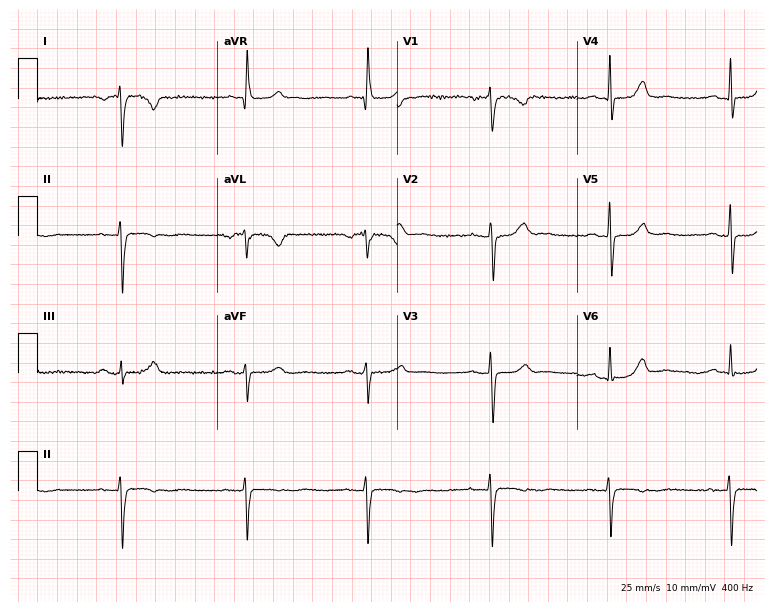
12-lead ECG from a 61-year-old female. Screened for six findings — first-degree AV block, right bundle branch block (RBBB), left bundle branch block (LBBB), sinus bradycardia, atrial fibrillation (AF), sinus tachycardia — none is recorded. Findings outside these six are not listed.